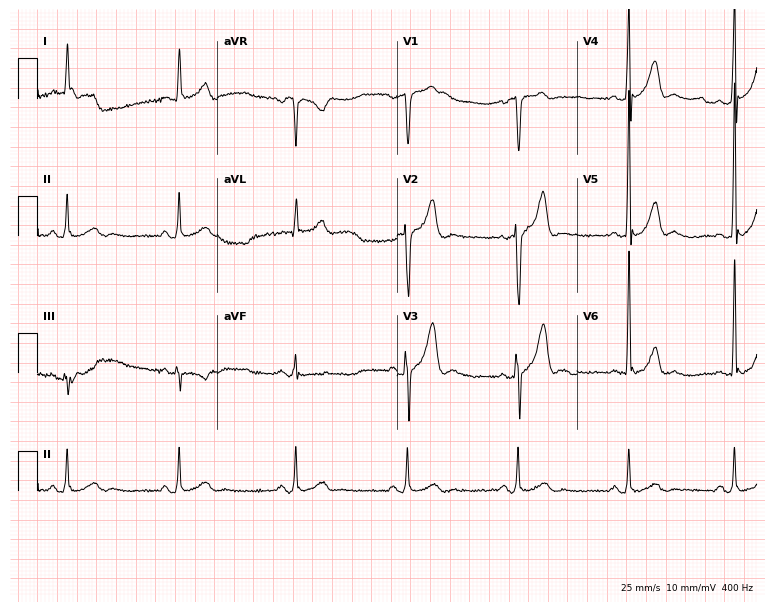
12-lead ECG from a man, 44 years old. Recorded interpretation: within normal limits.